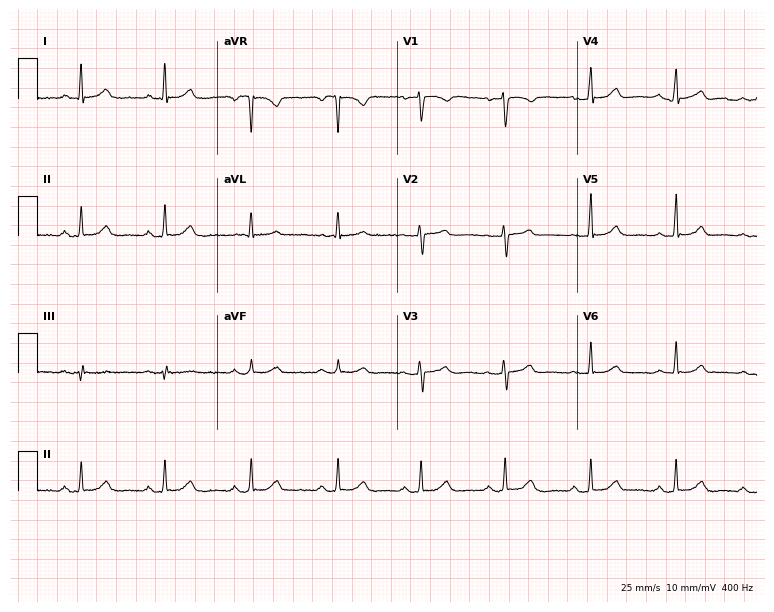
Resting 12-lead electrocardiogram. Patient: a 65-year-old female. None of these six findings is recorded: first-degree AV block, right bundle branch block, left bundle branch block, sinus bradycardia, atrial fibrillation, sinus tachycardia.